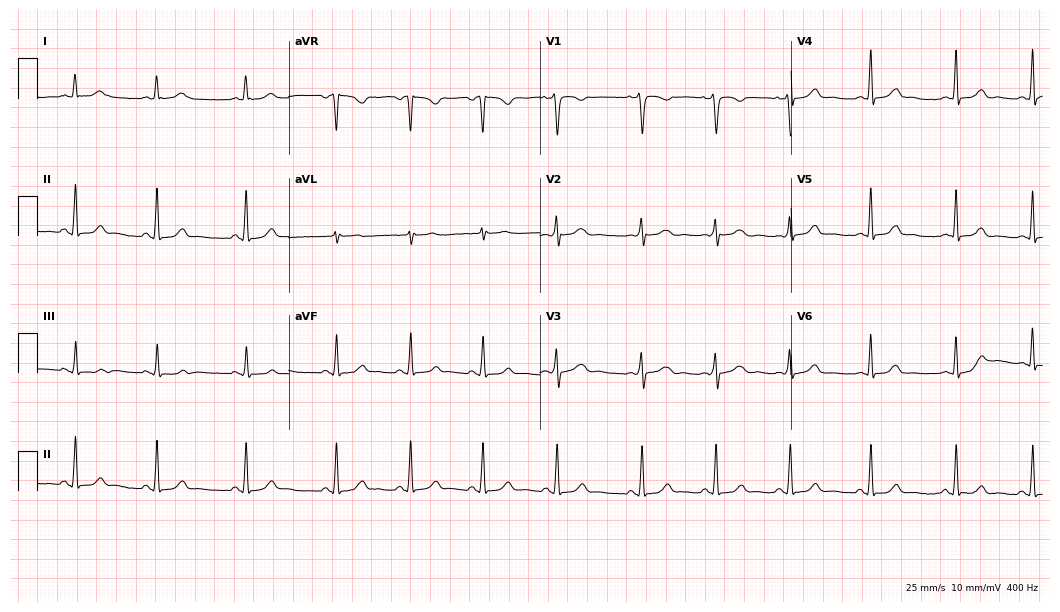
Electrocardiogram (10.2-second recording at 400 Hz), a female, 29 years old. Overall reading on record: normal ECG.